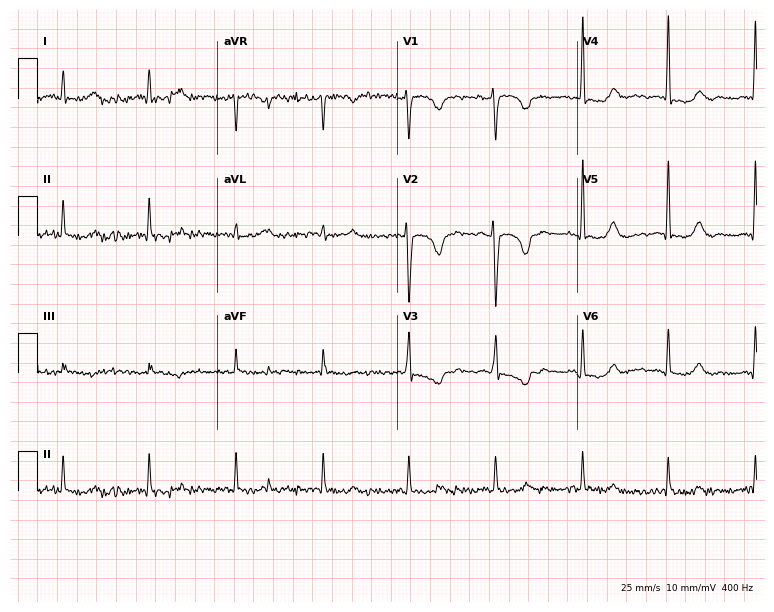
12-lead ECG from a 35-year-old female patient. Screened for six findings — first-degree AV block, right bundle branch block, left bundle branch block, sinus bradycardia, atrial fibrillation, sinus tachycardia — none is recorded.